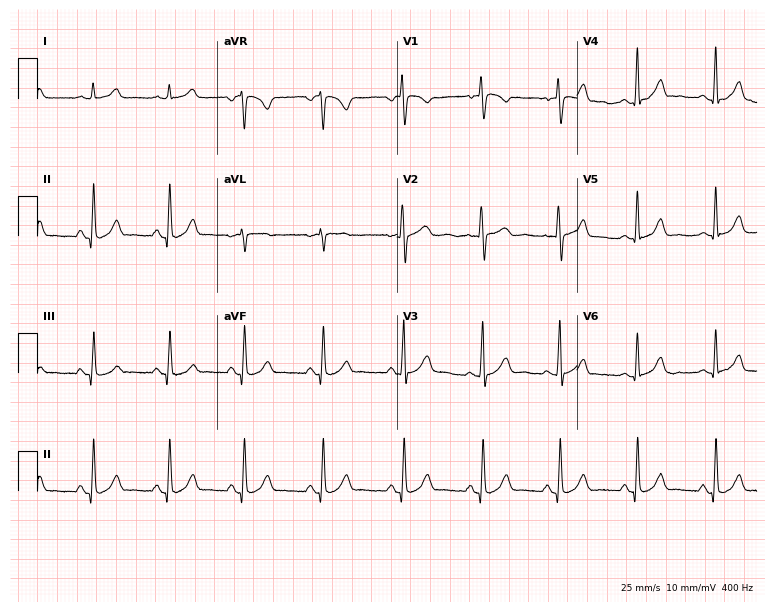
Resting 12-lead electrocardiogram. Patient: a 25-year-old female. None of these six findings is recorded: first-degree AV block, right bundle branch block, left bundle branch block, sinus bradycardia, atrial fibrillation, sinus tachycardia.